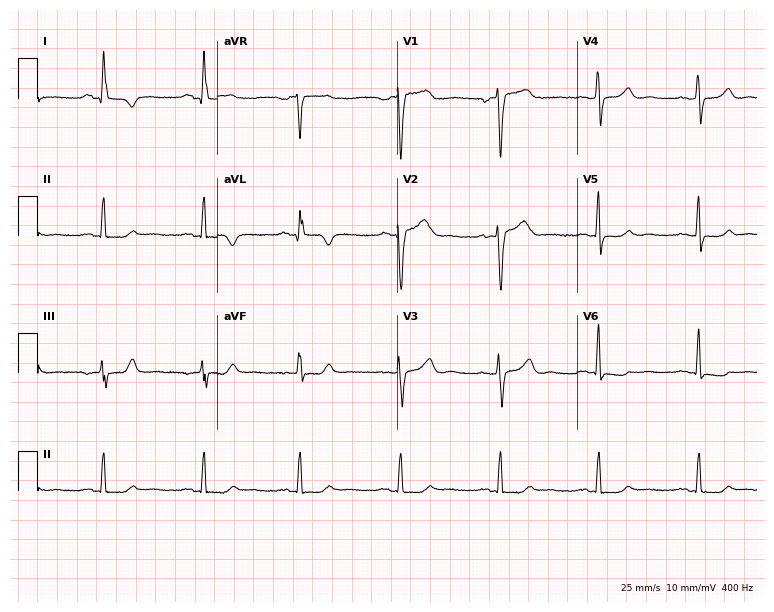
Electrocardiogram, a female, 55 years old. Of the six screened findings (first-degree AV block, right bundle branch block, left bundle branch block, sinus bradycardia, atrial fibrillation, sinus tachycardia), none is recorded. Other findings, if any, are not listed.